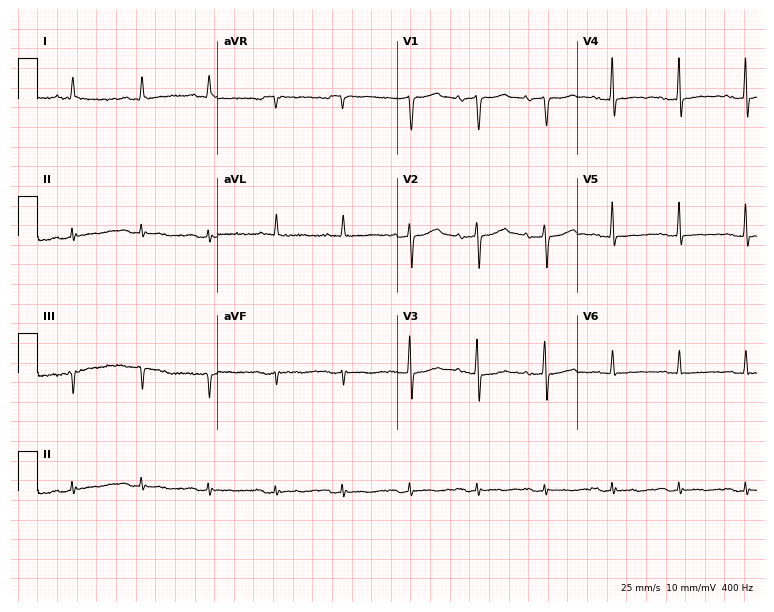
Electrocardiogram (7.3-second recording at 400 Hz), a man, 75 years old. Of the six screened findings (first-degree AV block, right bundle branch block, left bundle branch block, sinus bradycardia, atrial fibrillation, sinus tachycardia), none is recorded. Only these six findings were labelled.